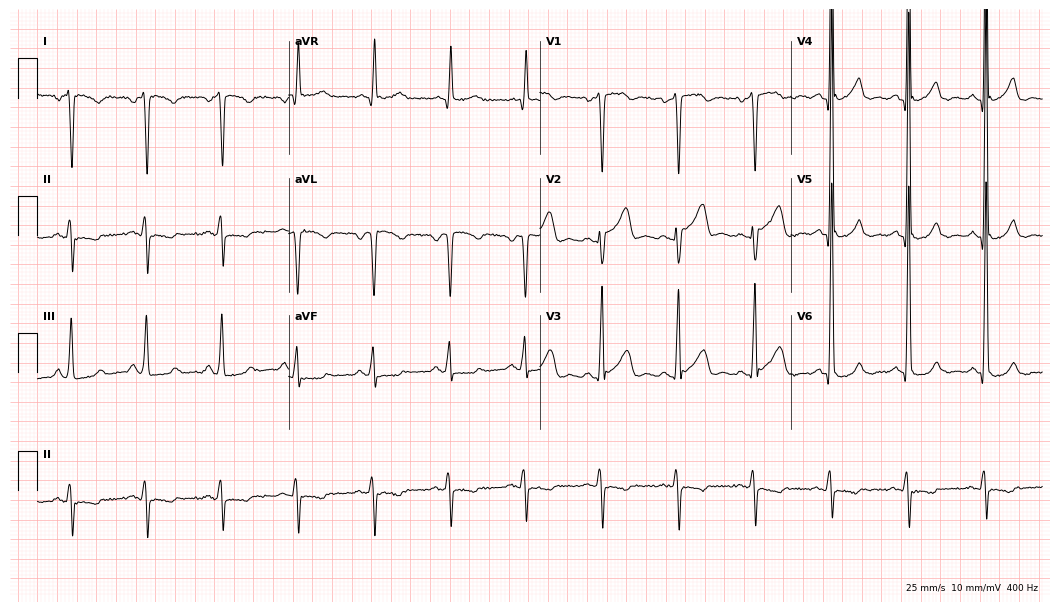
12-lead ECG from a male patient, 63 years old. Screened for six findings — first-degree AV block, right bundle branch block, left bundle branch block, sinus bradycardia, atrial fibrillation, sinus tachycardia — none is recorded.